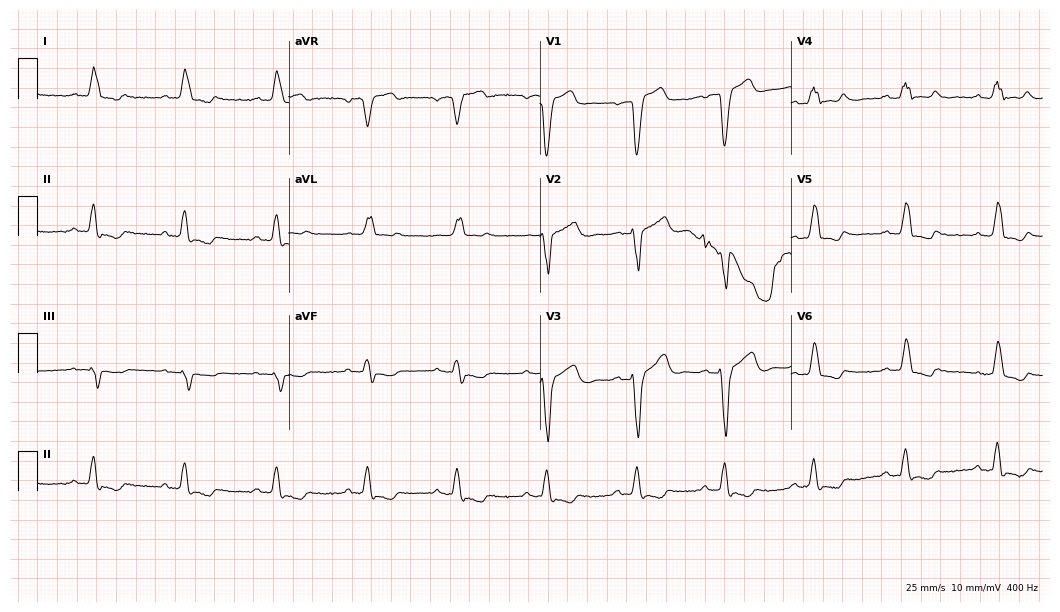
Electrocardiogram (10.2-second recording at 400 Hz), a male, 62 years old. Interpretation includes left bundle branch block (LBBB).